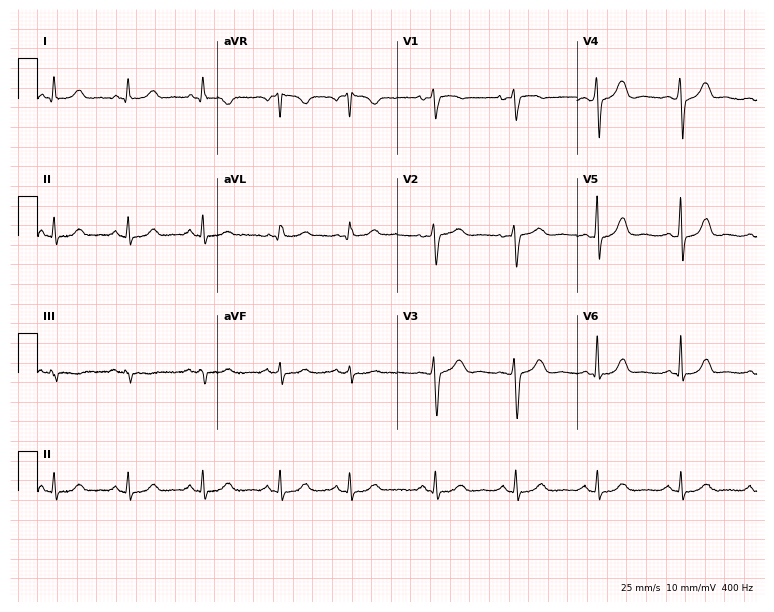
ECG (7.3-second recording at 400 Hz) — a female, 55 years old. Screened for six findings — first-degree AV block, right bundle branch block, left bundle branch block, sinus bradycardia, atrial fibrillation, sinus tachycardia — none is recorded. Other findings, if any, are not listed.